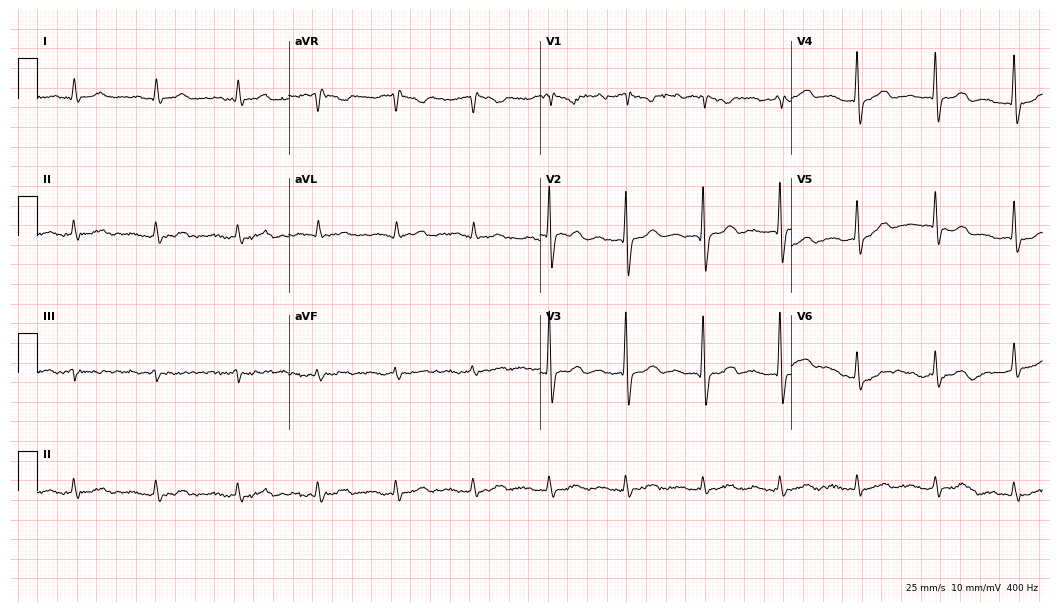
Standard 12-lead ECG recorded from a male patient, 79 years old. The tracing shows first-degree AV block.